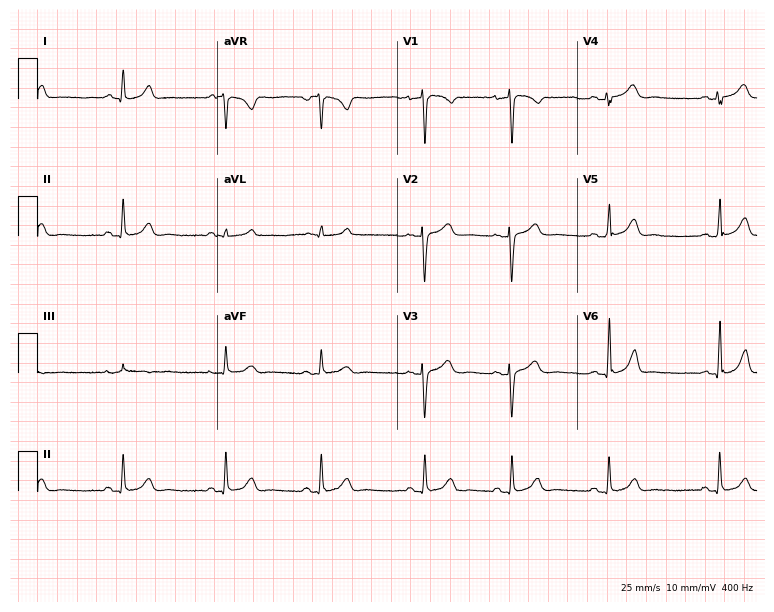
12-lead ECG from a female patient, 26 years old (7.3-second recording at 400 Hz). Recorded interpretation: within normal limits.